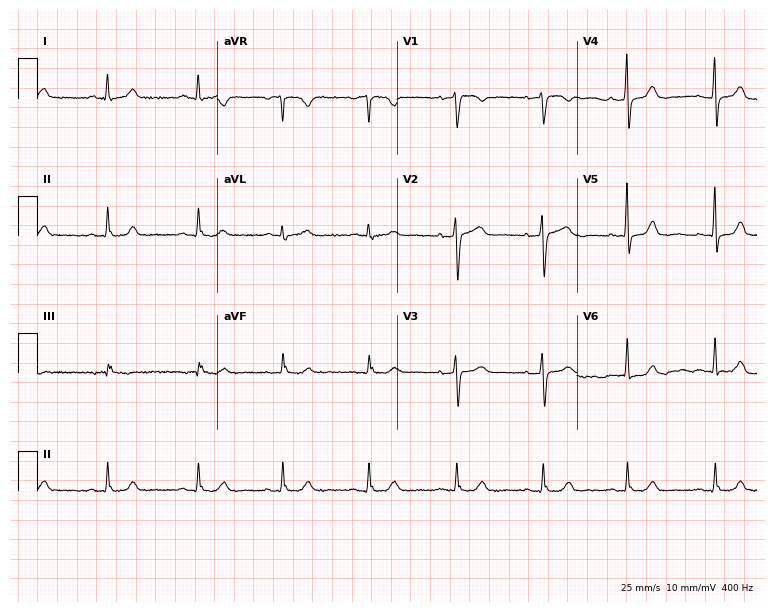
ECG (7.3-second recording at 400 Hz) — a female patient, 59 years old. Labelled as a normal ECG.